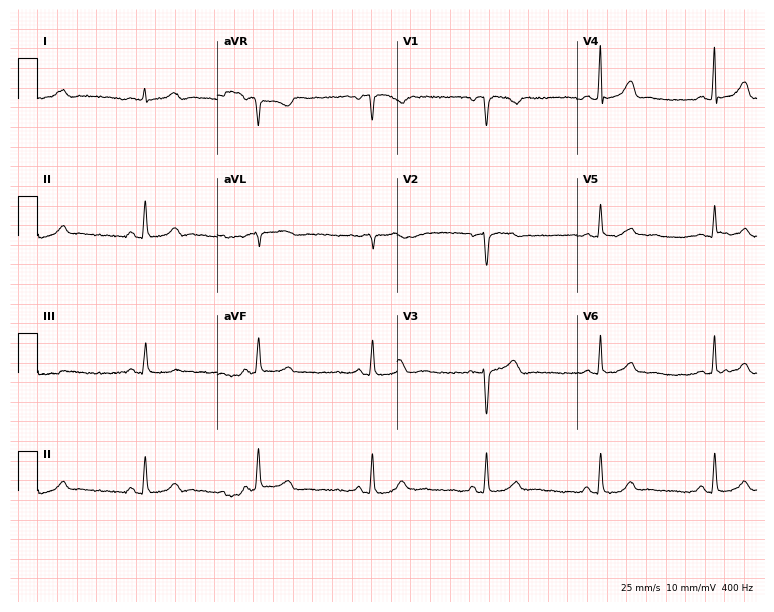
Standard 12-lead ECG recorded from a 49-year-old female (7.3-second recording at 400 Hz). None of these six findings is recorded: first-degree AV block, right bundle branch block, left bundle branch block, sinus bradycardia, atrial fibrillation, sinus tachycardia. Other findings, if any, are not listed.